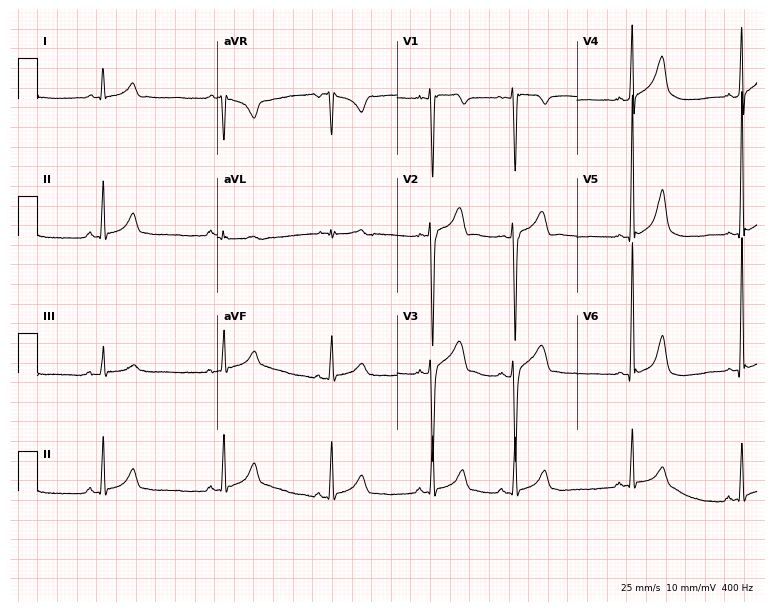
Resting 12-lead electrocardiogram (7.3-second recording at 400 Hz). Patient: an 18-year-old male. Read as a normal ECG.